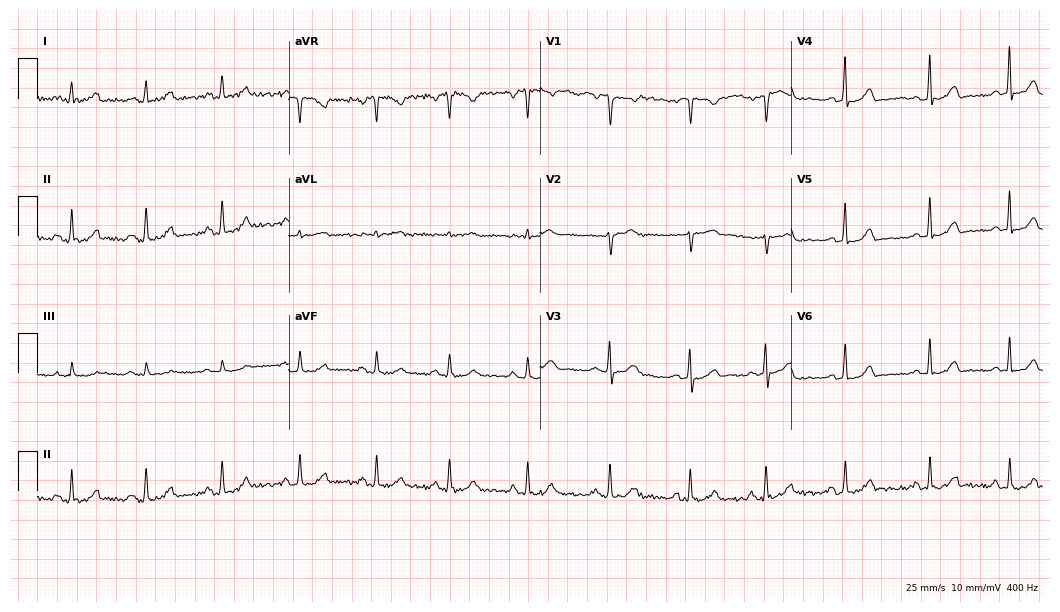
Electrocardiogram, a female patient, 32 years old. Overall reading on record: normal ECG.